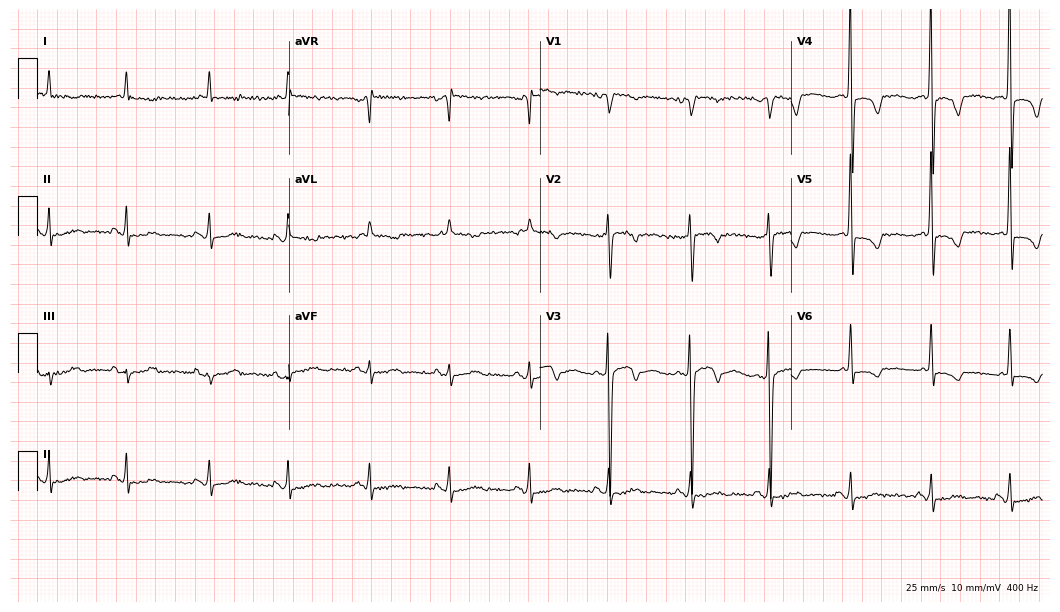
12-lead ECG from a female patient, 71 years old (10.2-second recording at 400 Hz). No first-degree AV block, right bundle branch block, left bundle branch block, sinus bradycardia, atrial fibrillation or sinus tachycardia recorded for this tracing. Other findings, if any, are not listed.